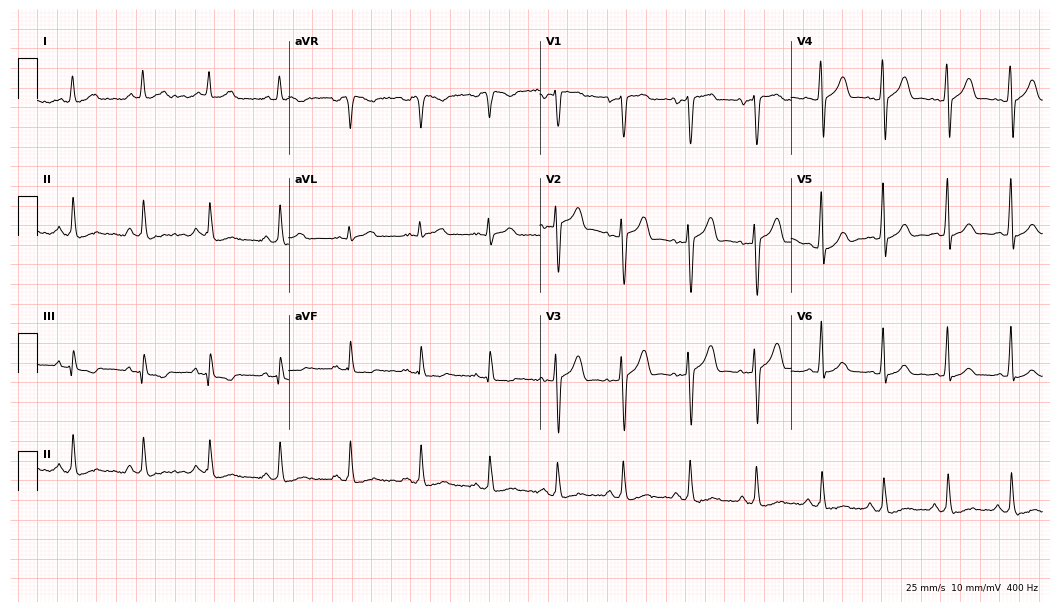
ECG (10.2-second recording at 400 Hz) — a 55-year-old male. Labelled as a normal ECG.